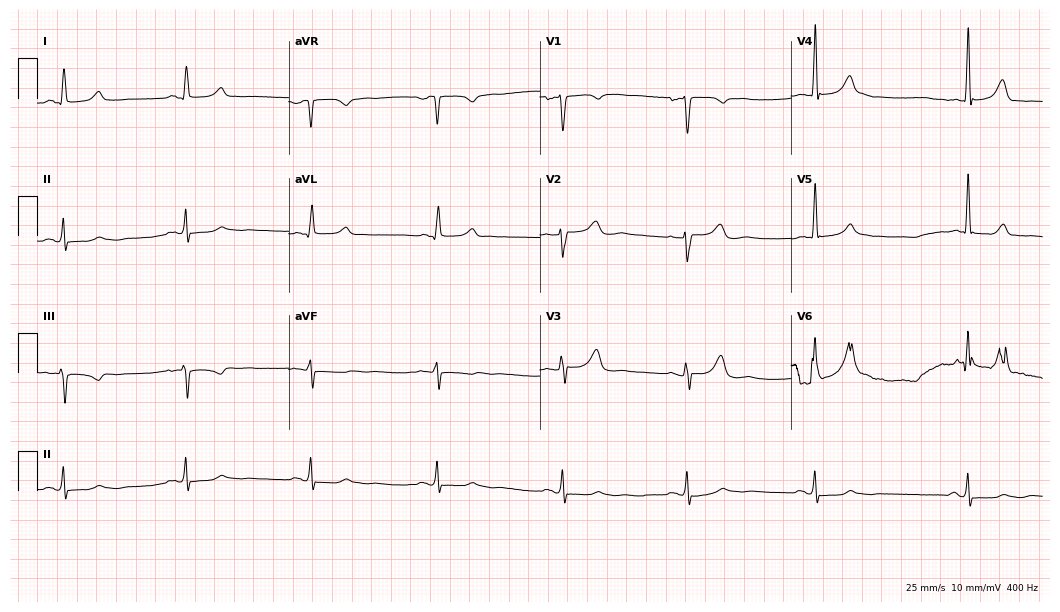
ECG — a 60-year-old male patient. Findings include sinus bradycardia (a sinus rate of 50 beats per minute or less).